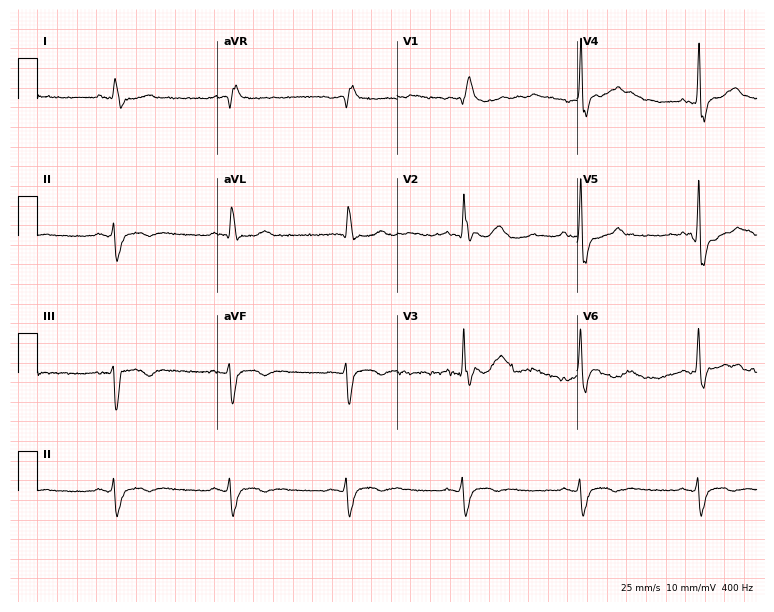
ECG — a male patient, 69 years old. Findings include right bundle branch block.